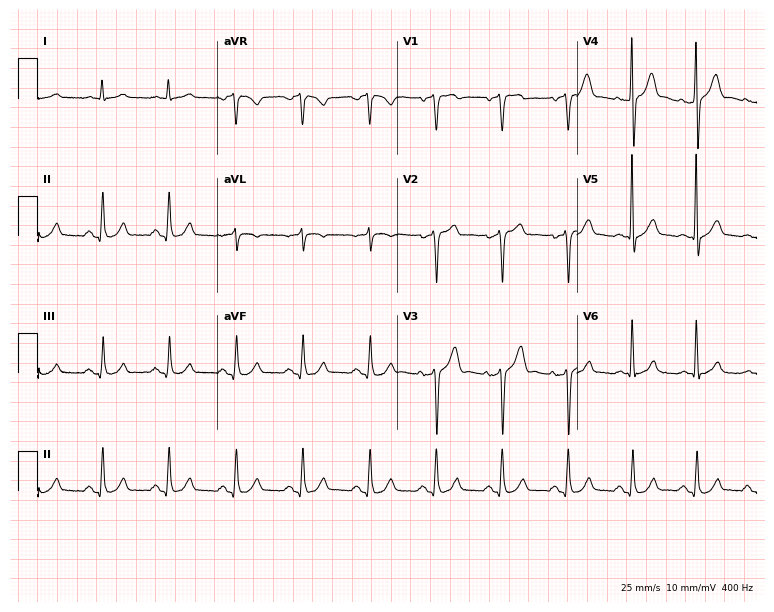
Standard 12-lead ECG recorded from a male, 54 years old (7.3-second recording at 400 Hz). Read as a normal ECG.